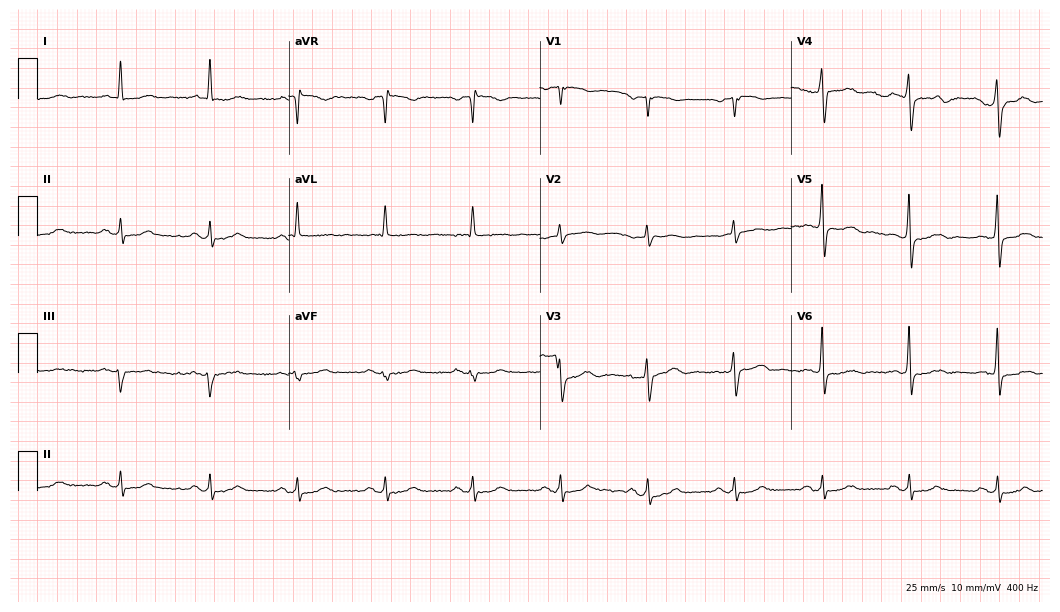
Resting 12-lead electrocardiogram (10.2-second recording at 400 Hz). Patient: a male, 69 years old. None of these six findings is recorded: first-degree AV block, right bundle branch block, left bundle branch block, sinus bradycardia, atrial fibrillation, sinus tachycardia. Only these six findings were labelled.